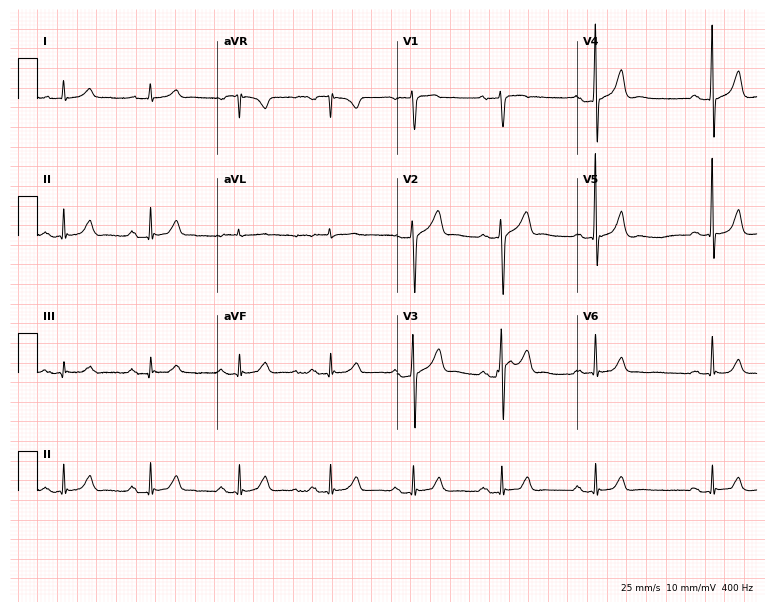
12-lead ECG (7.3-second recording at 400 Hz) from a 63-year-old man. Screened for six findings — first-degree AV block, right bundle branch block, left bundle branch block, sinus bradycardia, atrial fibrillation, sinus tachycardia — none is recorded. Other findings, if any, are not listed.